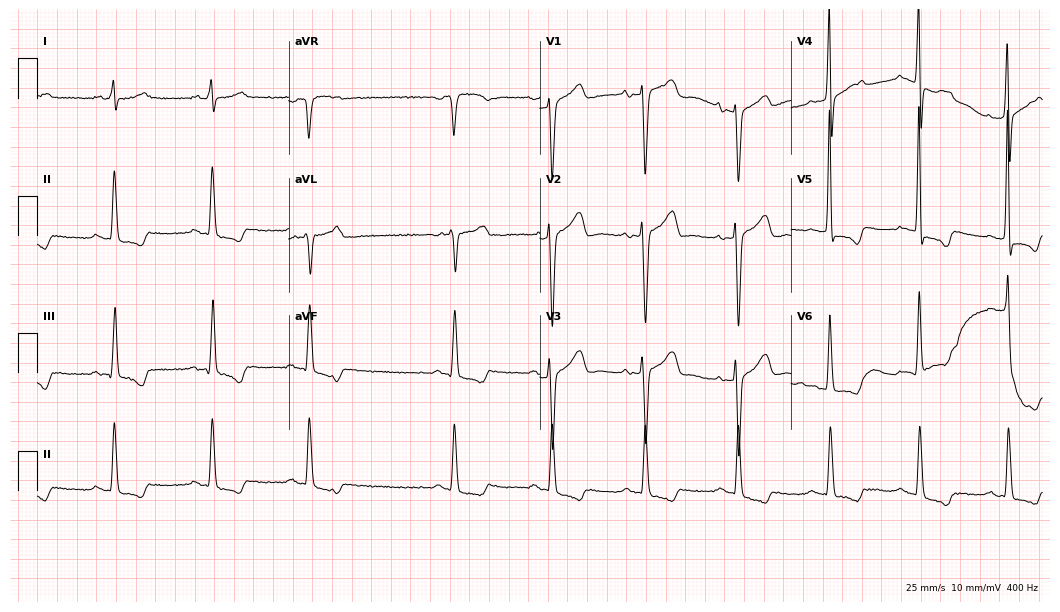
ECG (10.2-second recording at 400 Hz) — an 83-year-old woman. Screened for six findings — first-degree AV block, right bundle branch block, left bundle branch block, sinus bradycardia, atrial fibrillation, sinus tachycardia — none is recorded.